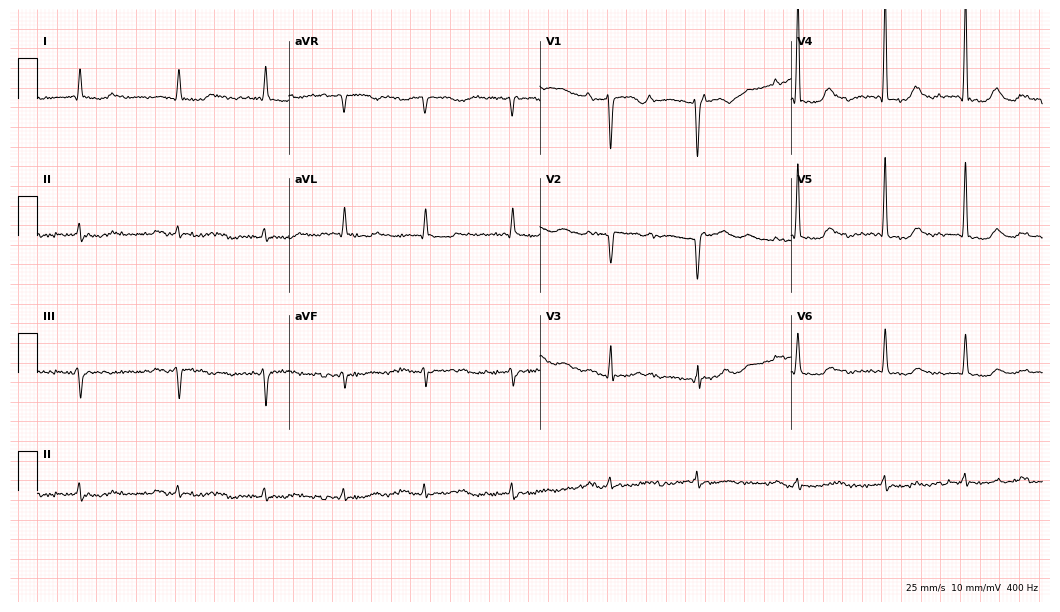
12-lead ECG (10.2-second recording at 400 Hz) from an 84-year-old male patient. Screened for six findings — first-degree AV block, right bundle branch block, left bundle branch block, sinus bradycardia, atrial fibrillation, sinus tachycardia — none is recorded.